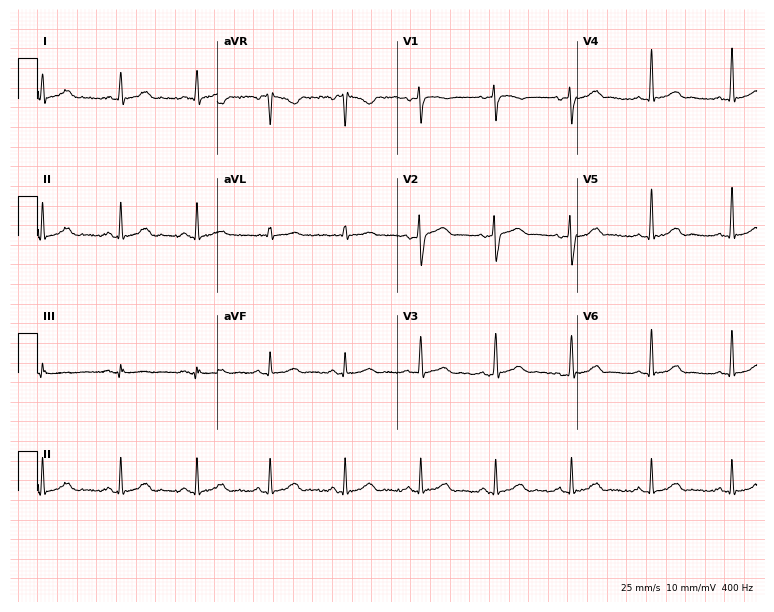
ECG (7.3-second recording at 400 Hz) — a female, 34 years old. Labelled as a normal ECG.